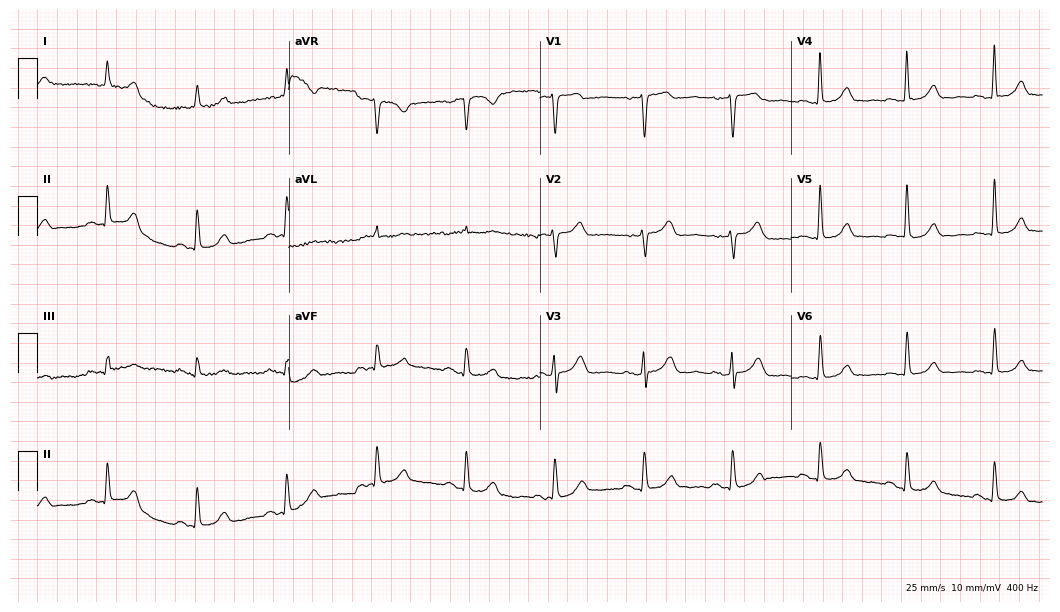
Resting 12-lead electrocardiogram. Patient: a 73-year-old woman. Read as a normal ECG.